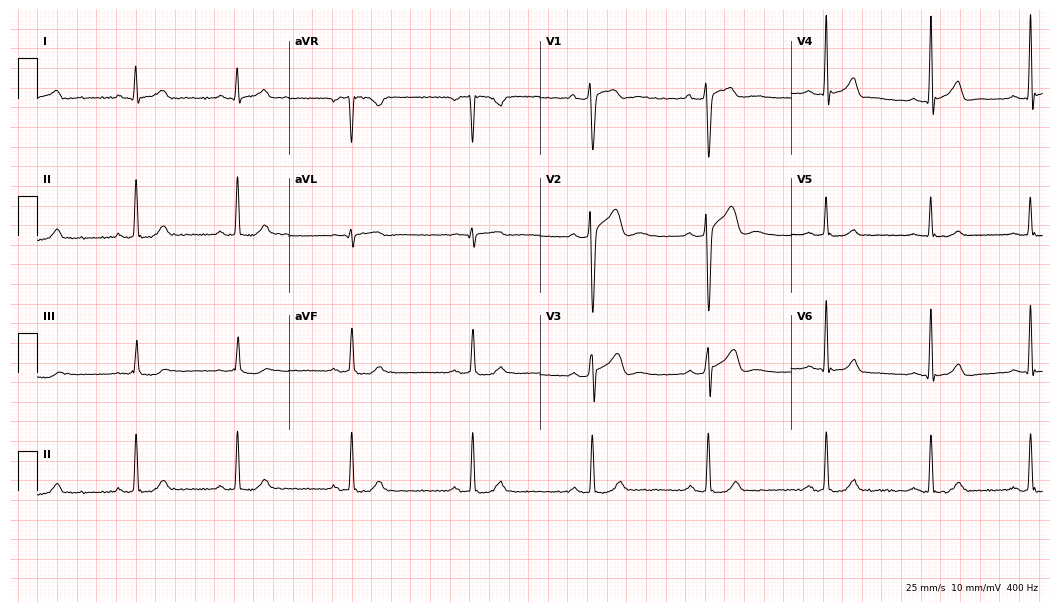
Standard 12-lead ECG recorded from a 38-year-old man (10.2-second recording at 400 Hz). Read as a normal ECG.